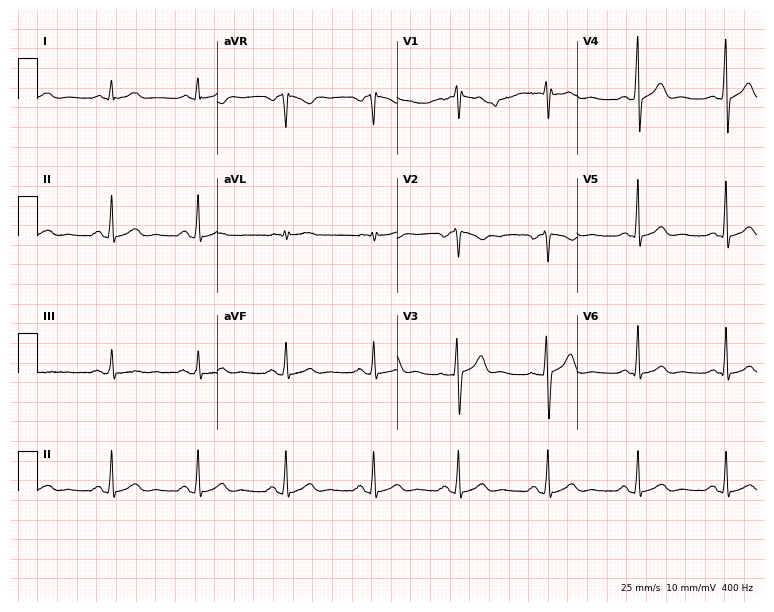
Resting 12-lead electrocardiogram (7.3-second recording at 400 Hz). Patient: a male, 42 years old. None of these six findings is recorded: first-degree AV block, right bundle branch block (RBBB), left bundle branch block (LBBB), sinus bradycardia, atrial fibrillation (AF), sinus tachycardia.